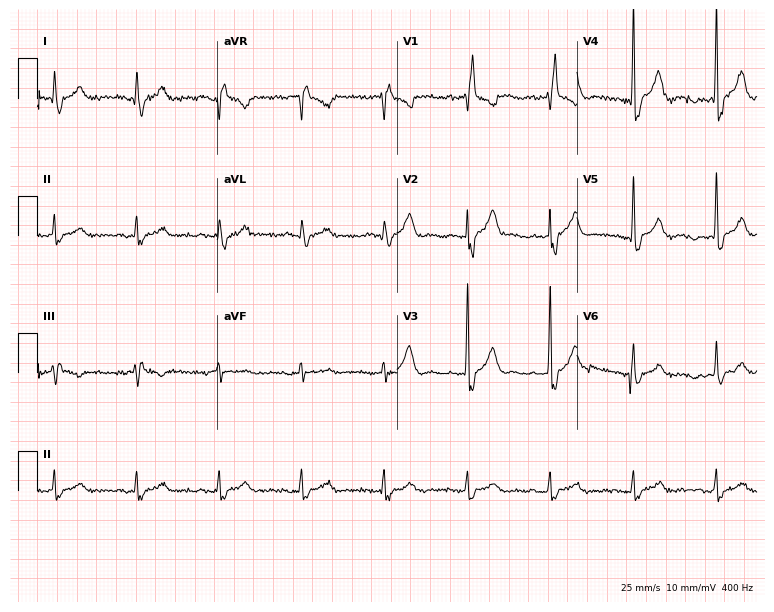
ECG (7.3-second recording at 400 Hz) — a man, 84 years old. Findings include right bundle branch block.